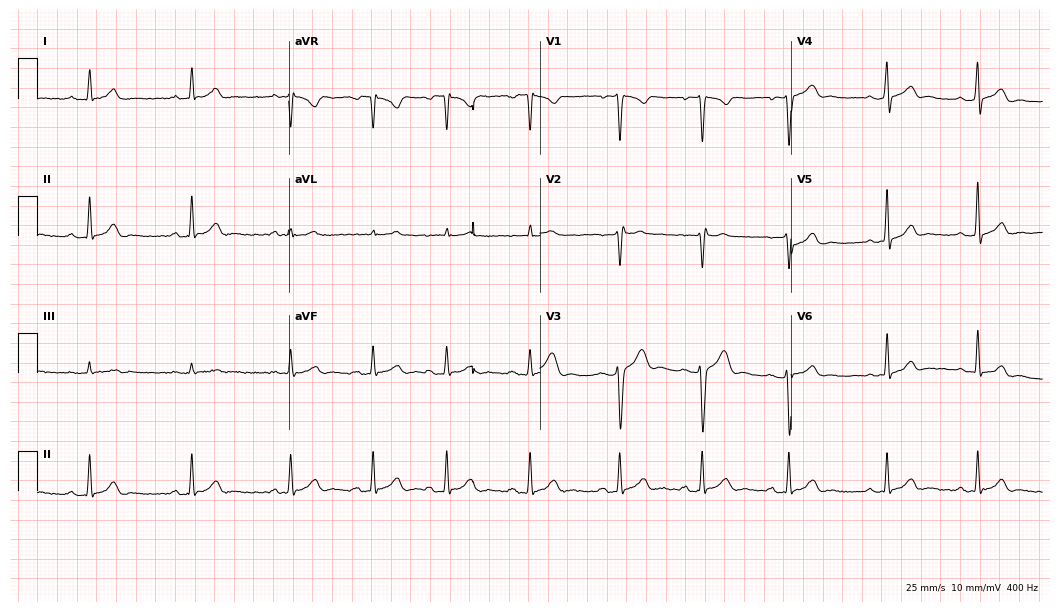
Resting 12-lead electrocardiogram. Patient: a 24-year-old man. Read as a normal ECG.